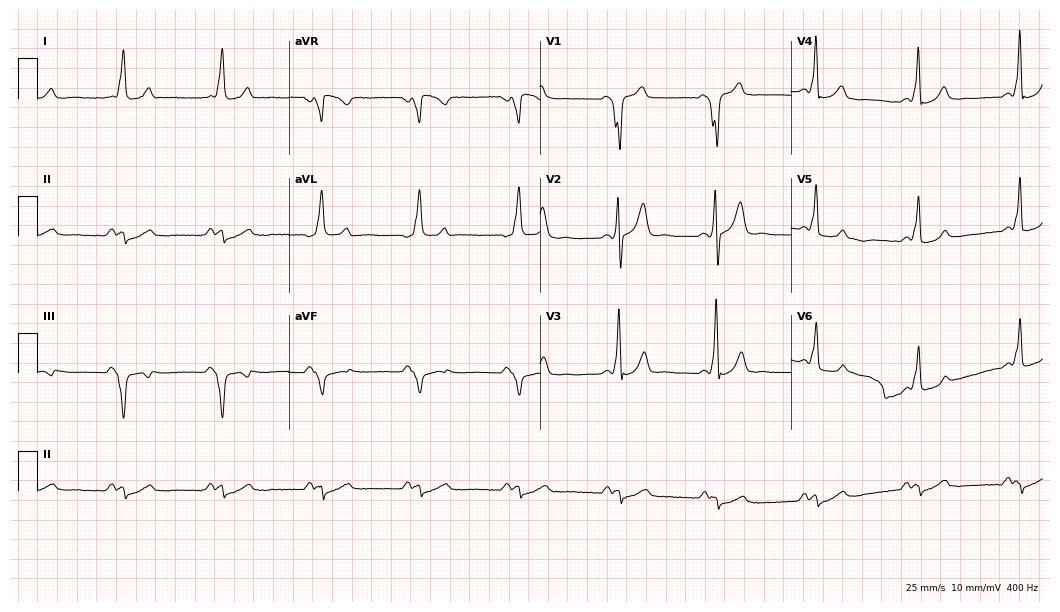
12-lead ECG from a 36-year-old man. No first-degree AV block, right bundle branch block, left bundle branch block, sinus bradycardia, atrial fibrillation or sinus tachycardia recorded for this tracing. Other findings, if any, are not listed.